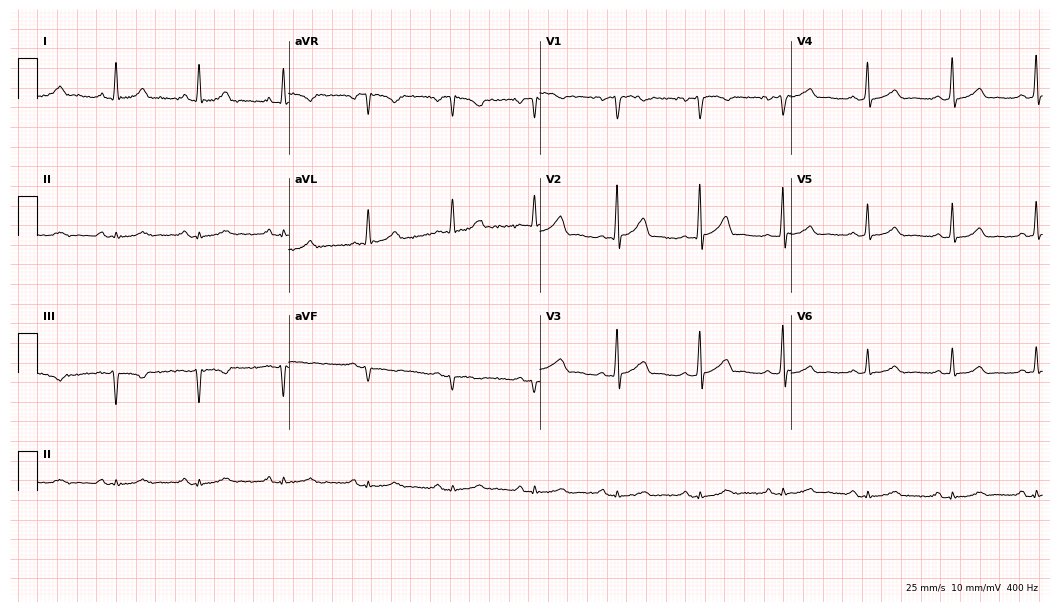
12-lead ECG (10.2-second recording at 400 Hz) from a 60-year-old man. Labelled as a normal ECG.